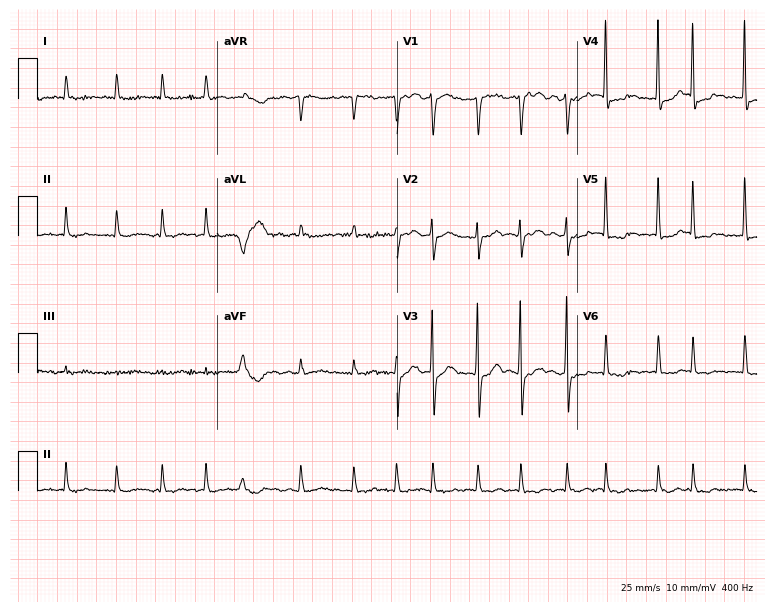
12-lead ECG from a male, 81 years old. Shows atrial fibrillation.